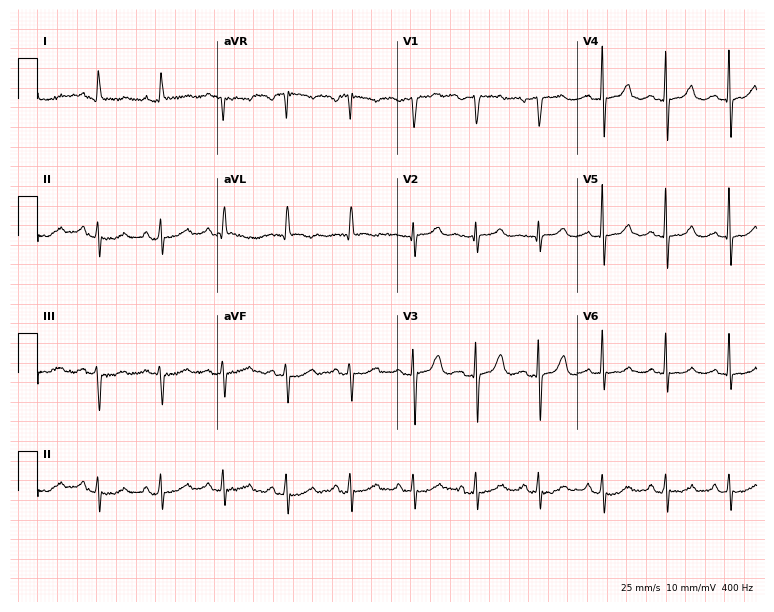
12-lead ECG from a female patient, 70 years old. Recorded interpretation: within normal limits.